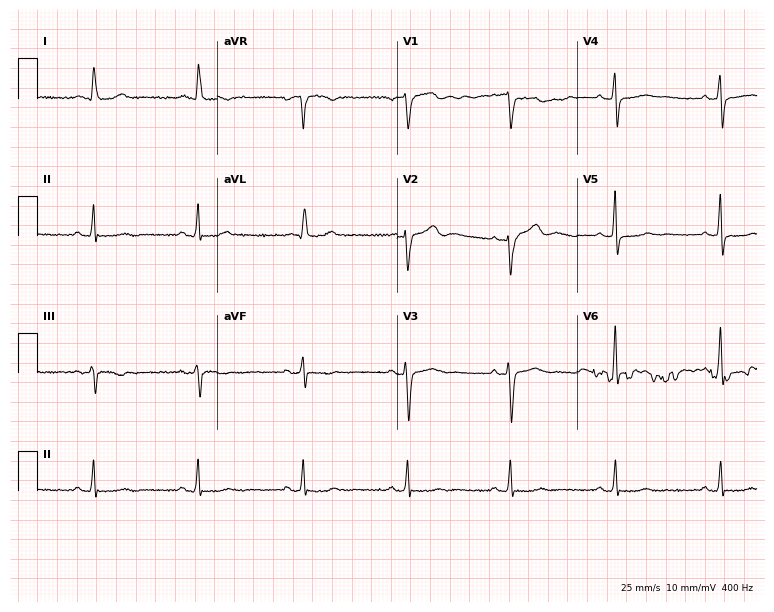
ECG — a female, 61 years old. Screened for six findings — first-degree AV block, right bundle branch block, left bundle branch block, sinus bradycardia, atrial fibrillation, sinus tachycardia — none is recorded.